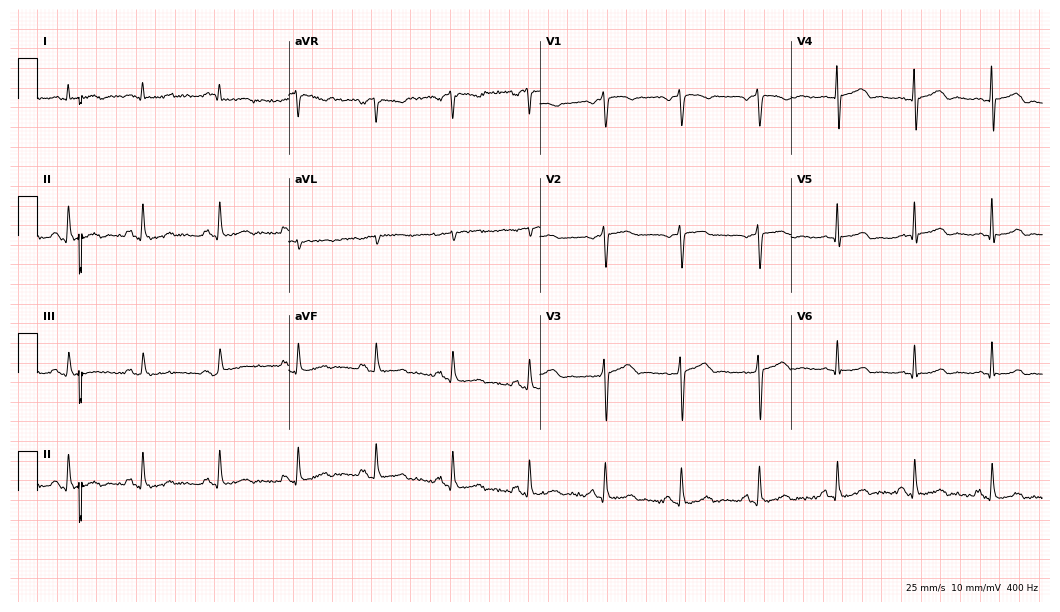
Electrocardiogram (10.2-second recording at 400 Hz), a male patient, 64 years old. Of the six screened findings (first-degree AV block, right bundle branch block, left bundle branch block, sinus bradycardia, atrial fibrillation, sinus tachycardia), none is recorded.